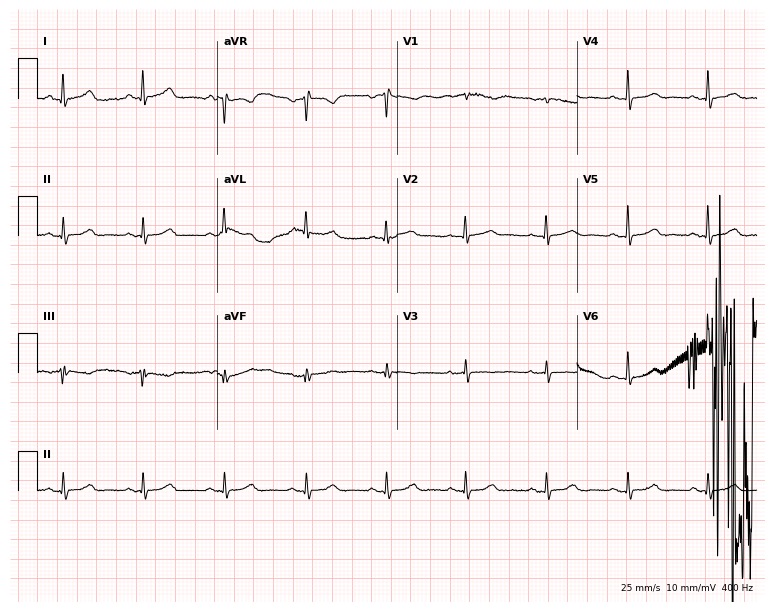
ECG (7.3-second recording at 400 Hz) — a 61-year-old female patient. Screened for six findings — first-degree AV block, right bundle branch block, left bundle branch block, sinus bradycardia, atrial fibrillation, sinus tachycardia — none is recorded. Other findings, if any, are not listed.